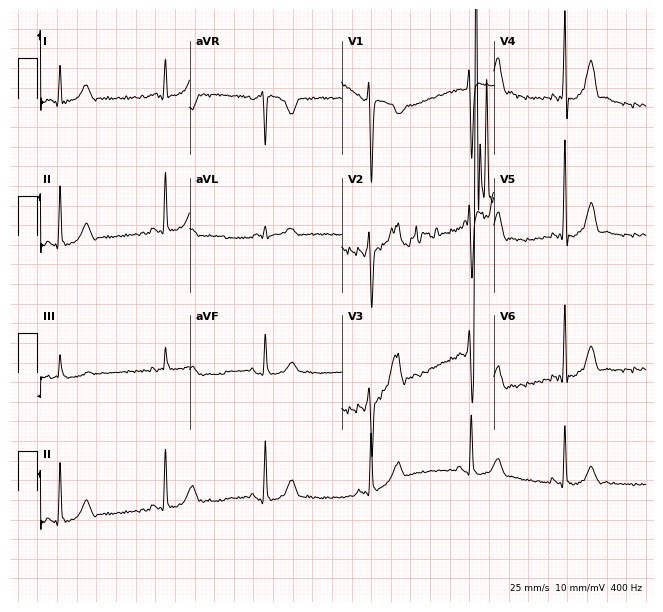
12-lead ECG from a 23-year-old man. Labelled as a normal ECG.